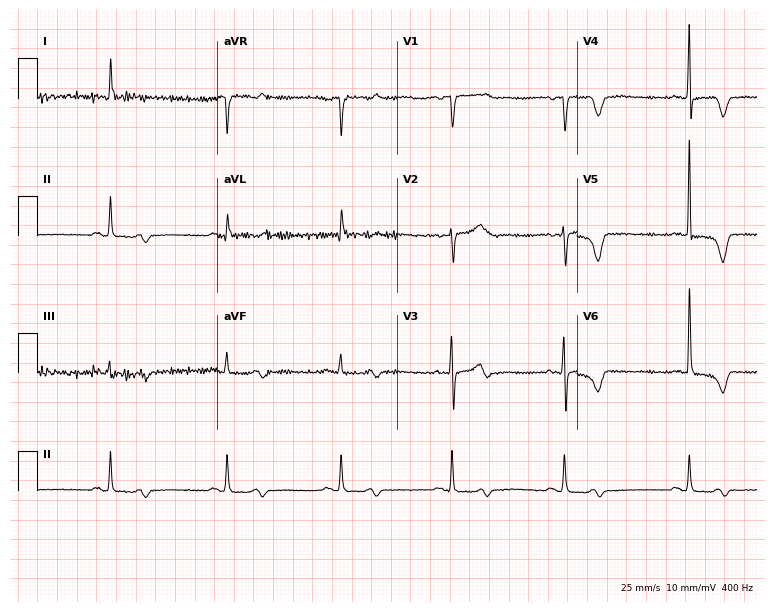
Standard 12-lead ECG recorded from a female patient, 78 years old. Read as a normal ECG.